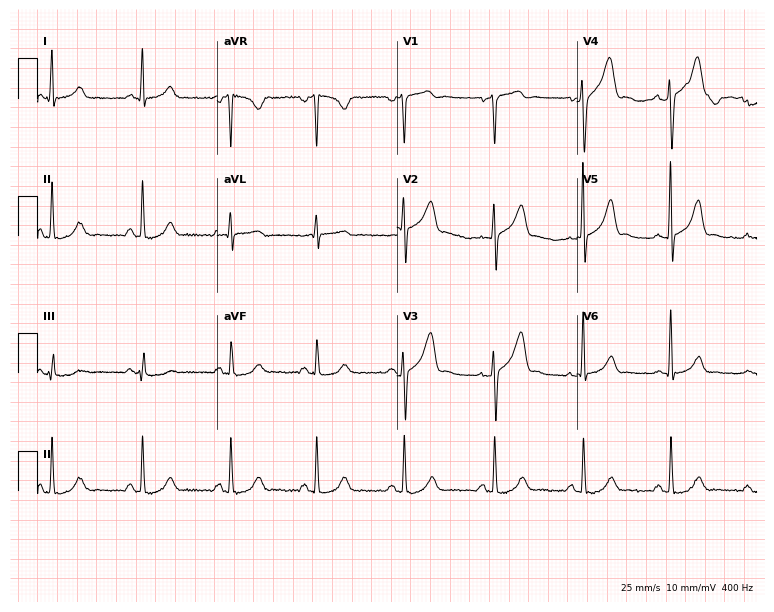
ECG (7.3-second recording at 400 Hz) — a man, 52 years old. Screened for six findings — first-degree AV block, right bundle branch block, left bundle branch block, sinus bradycardia, atrial fibrillation, sinus tachycardia — none is recorded. Other findings, if any, are not listed.